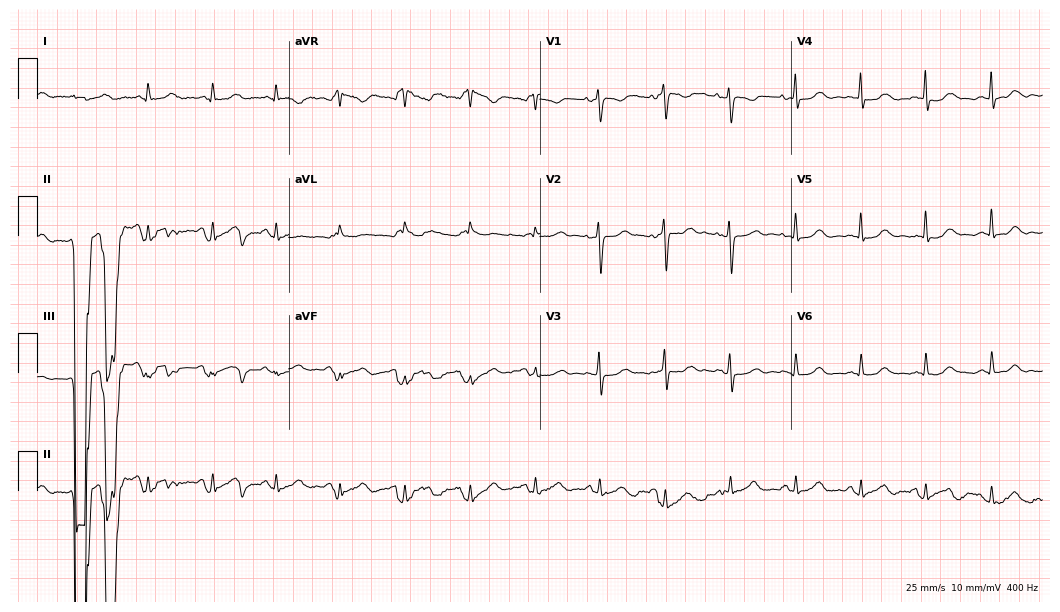
12-lead ECG from a 41-year-old female patient (10.2-second recording at 400 Hz). Recorded interpretation: within normal limits.